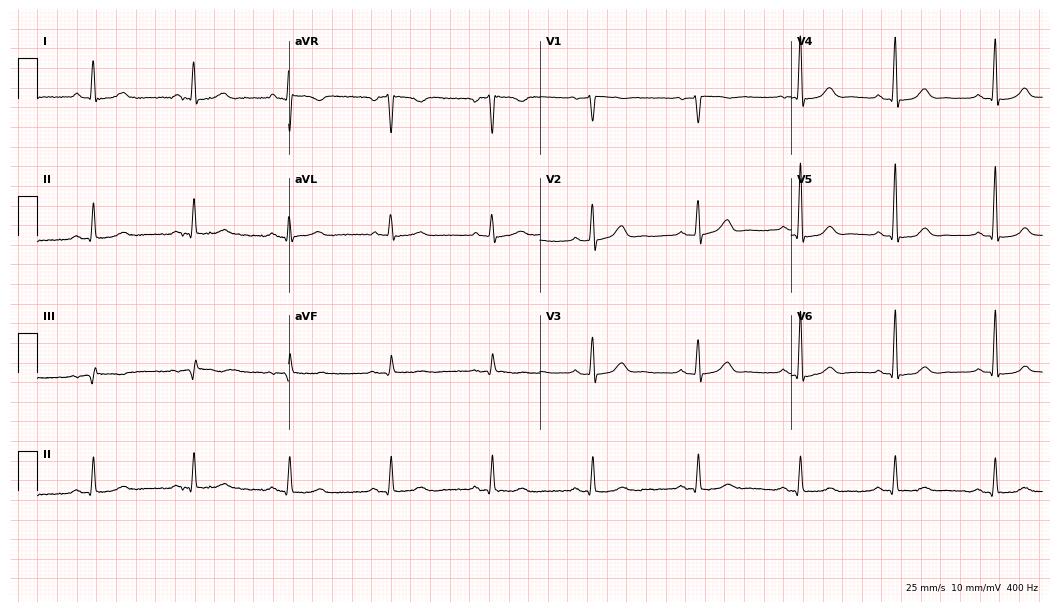
ECG (10.2-second recording at 400 Hz) — a 50-year-old female patient. Screened for six findings — first-degree AV block, right bundle branch block, left bundle branch block, sinus bradycardia, atrial fibrillation, sinus tachycardia — none is recorded. Findings outside these six are not listed.